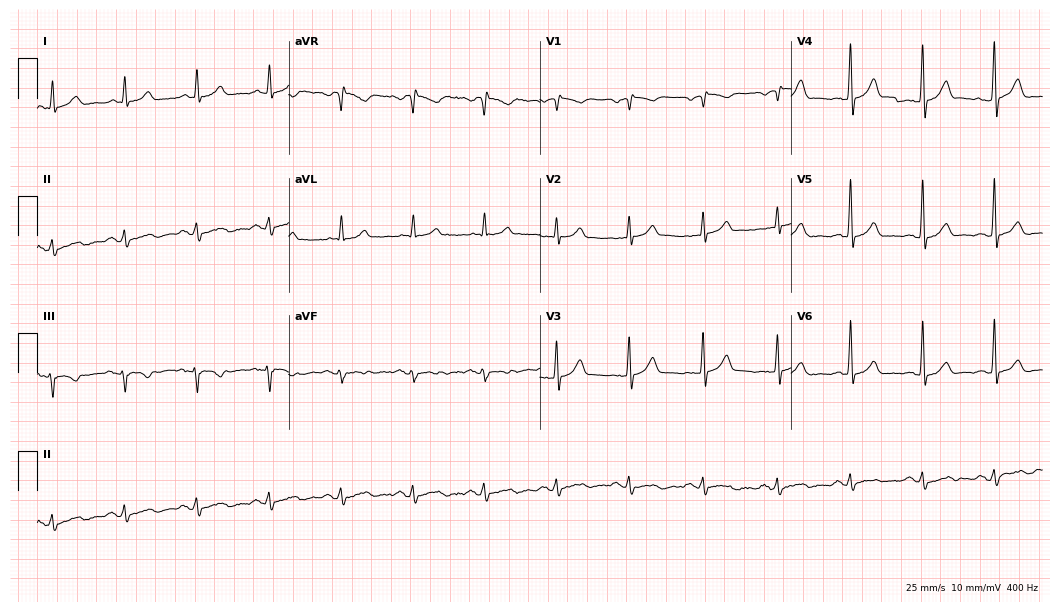
12-lead ECG (10.2-second recording at 400 Hz) from a 52-year-old male patient. Screened for six findings — first-degree AV block, right bundle branch block (RBBB), left bundle branch block (LBBB), sinus bradycardia, atrial fibrillation (AF), sinus tachycardia — none is recorded.